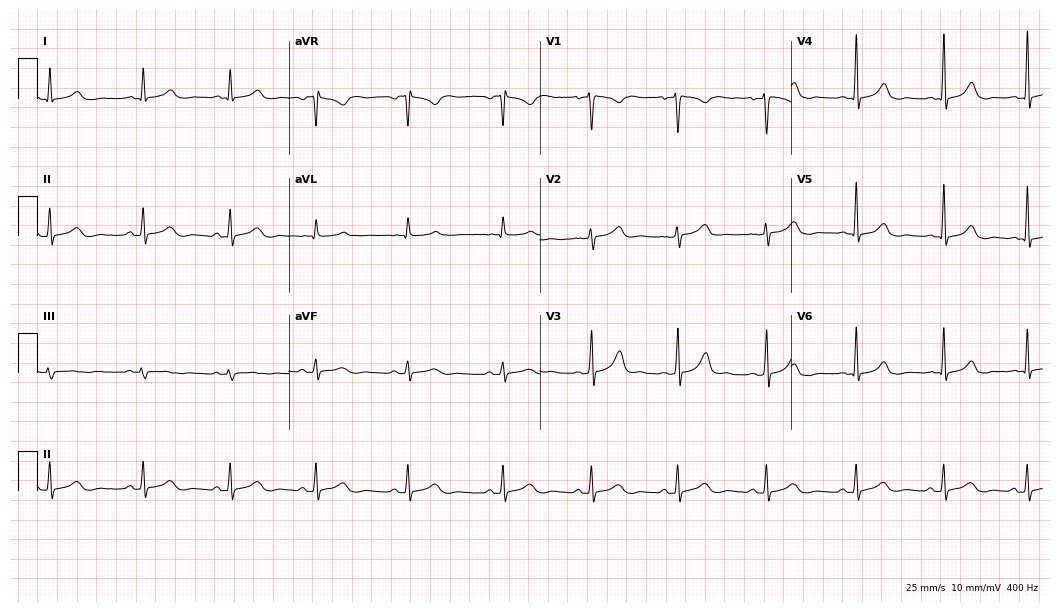
Electrocardiogram, a woman, 32 years old. Overall reading on record: normal ECG.